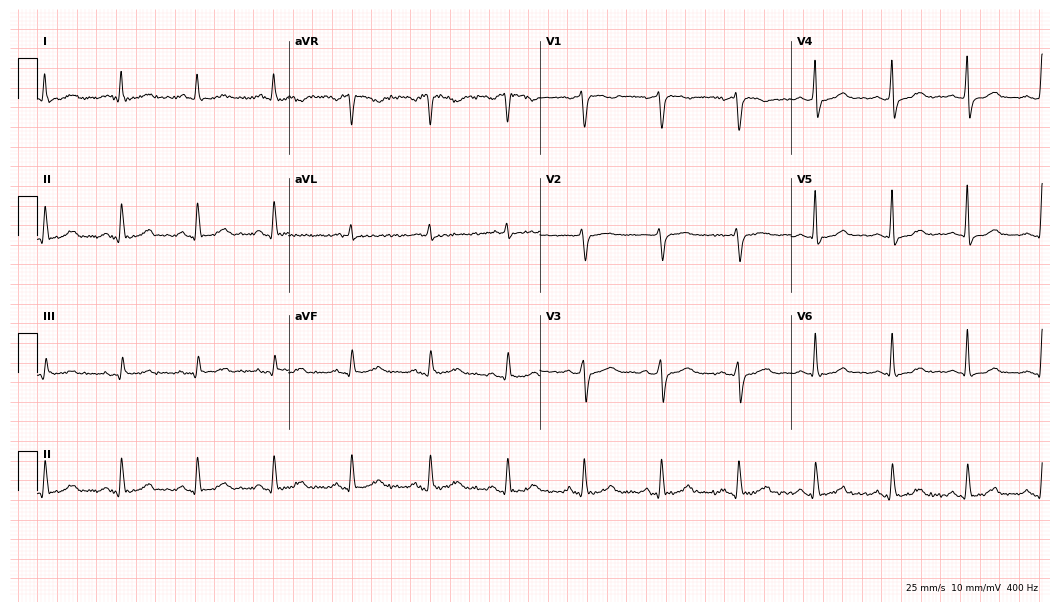
12-lead ECG from a woman, 54 years old. No first-degree AV block, right bundle branch block (RBBB), left bundle branch block (LBBB), sinus bradycardia, atrial fibrillation (AF) or sinus tachycardia recorded for this tracing. Other findings, if any, are not listed.